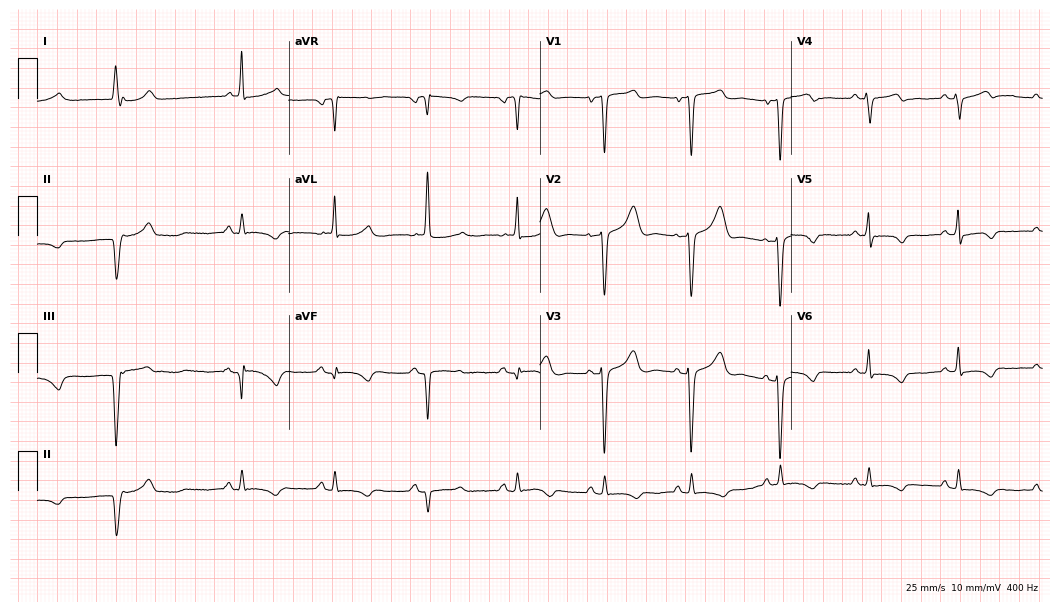
ECG (10.2-second recording at 400 Hz) — a male, 80 years old. Labelled as a normal ECG.